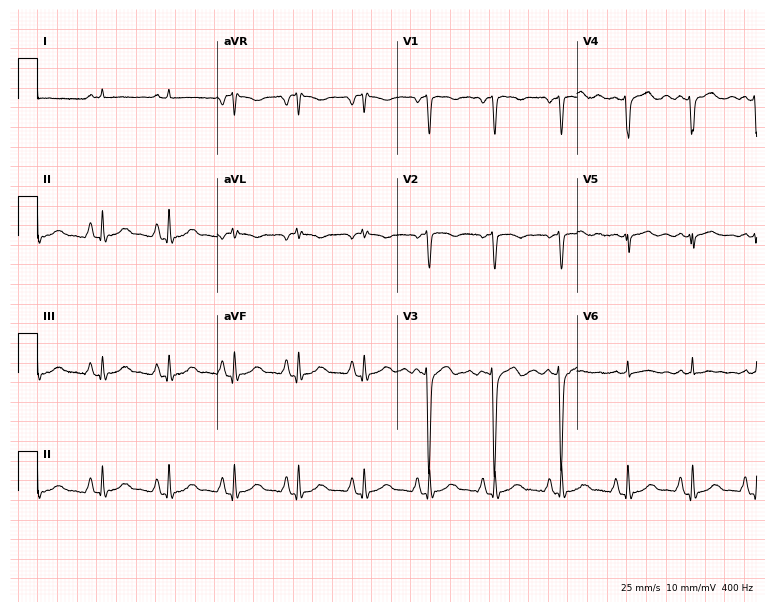
12-lead ECG from a 73-year-old male. Screened for six findings — first-degree AV block, right bundle branch block, left bundle branch block, sinus bradycardia, atrial fibrillation, sinus tachycardia — none is recorded. Other findings, if any, are not listed.